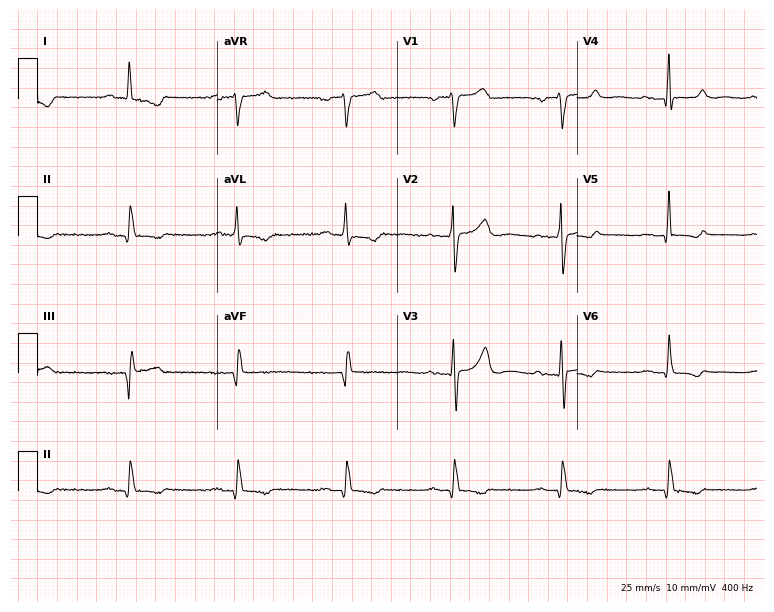
ECG (7.3-second recording at 400 Hz) — a 58-year-old male patient. Findings include first-degree AV block.